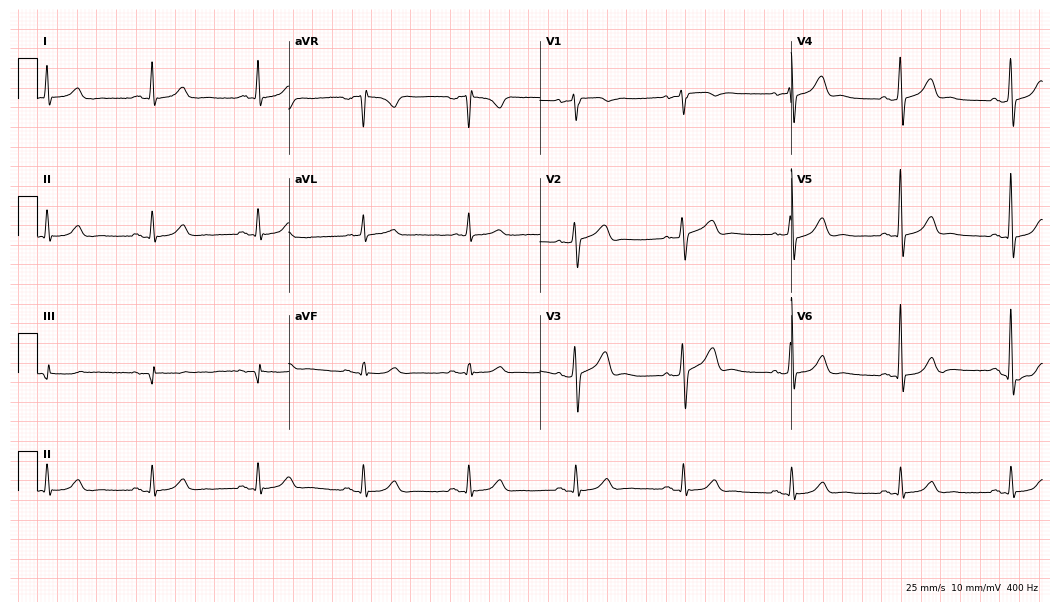
Resting 12-lead electrocardiogram. Patient: a 64-year-old man. Read as a normal ECG.